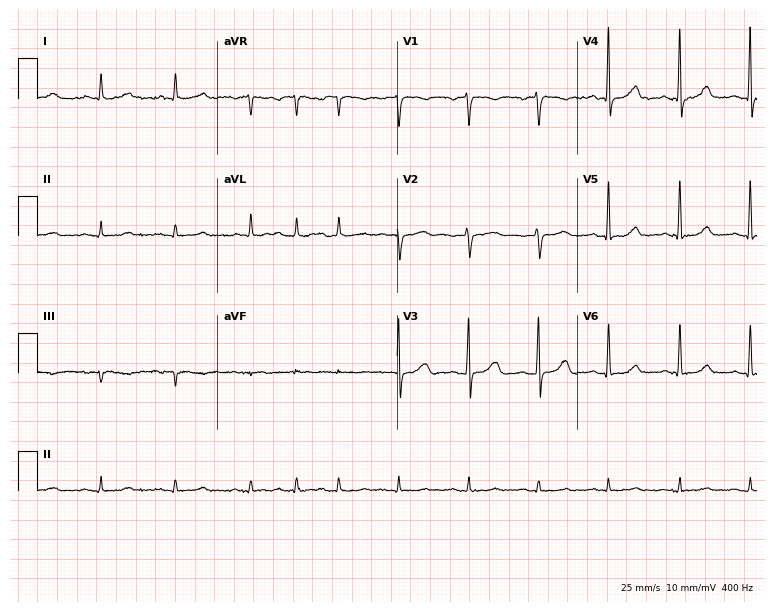
Electrocardiogram (7.3-second recording at 400 Hz), a 73-year-old female patient. Of the six screened findings (first-degree AV block, right bundle branch block, left bundle branch block, sinus bradycardia, atrial fibrillation, sinus tachycardia), none is recorded.